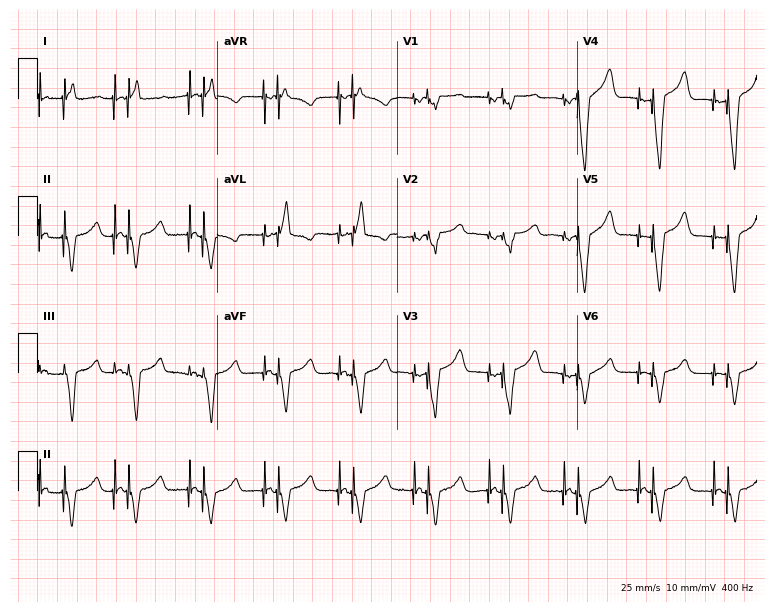
Standard 12-lead ECG recorded from a 60-year-old female patient. None of these six findings is recorded: first-degree AV block, right bundle branch block, left bundle branch block, sinus bradycardia, atrial fibrillation, sinus tachycardia.